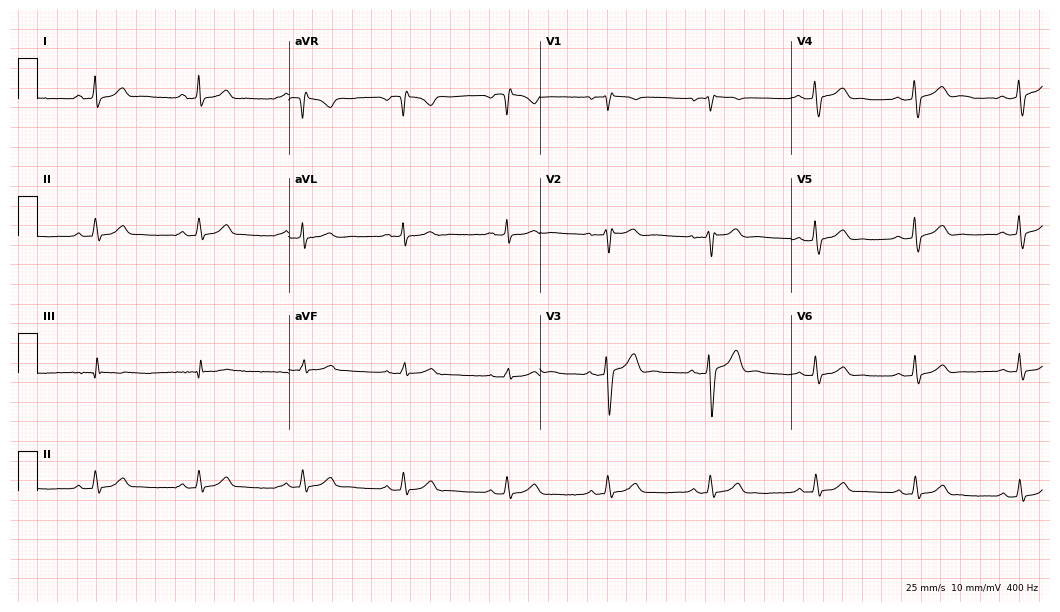
Electrocardiogram, a 38-year-old male patient. Overall reading on record: normal ECG.